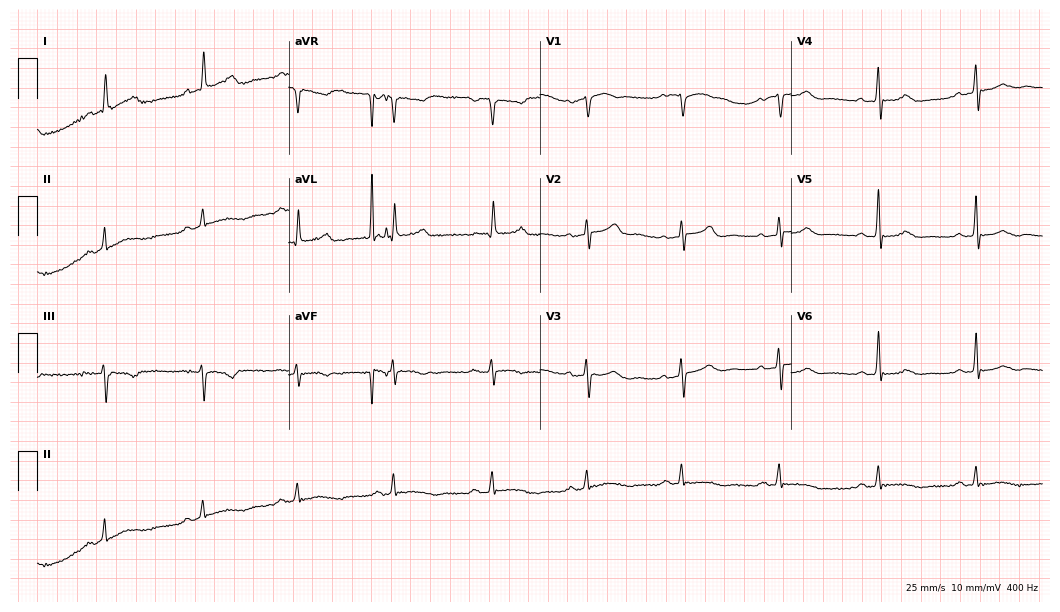
Electrocardiogram, a female, 77 years old. Interpretation includes first-degree AV block.